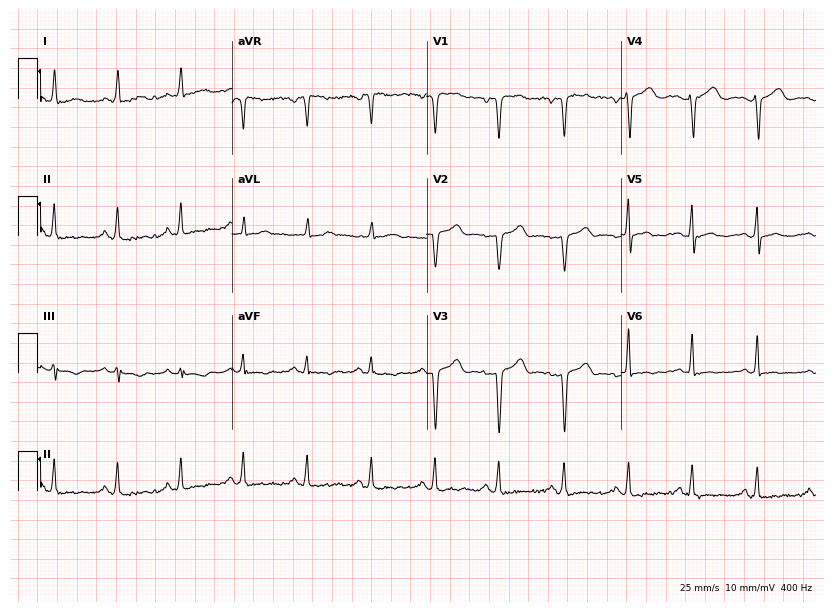
Standard 12-lead ECG recorded from a woman, 44 years old (7.9-second recording at 400 Hz). None of these six findings is recorded: first-degree AV block, right bundle branch block, left bundle branch block, sinus bradycardia, atrial fibrillation, sinus tachycardia. Findings outside these six are not listed.